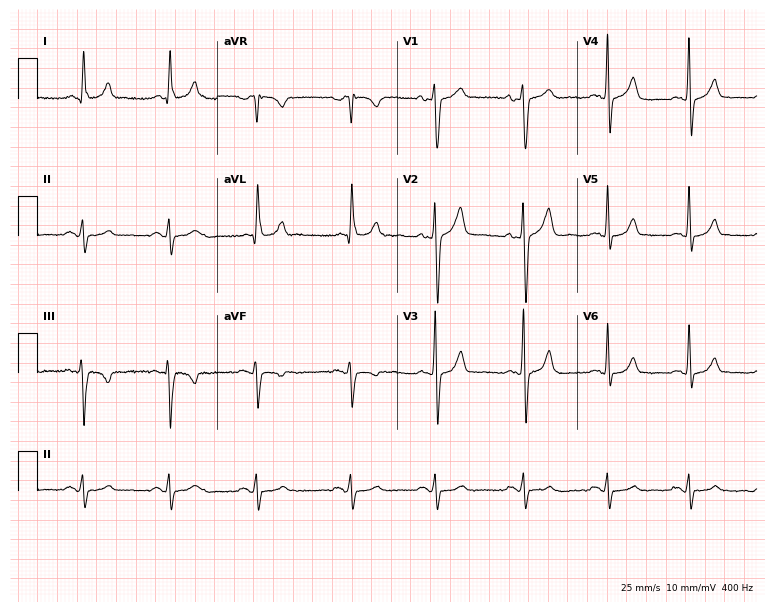
Resting 12-lead electrocardiogram. Patient: a 63-year-old male. None of these six findings is recorded: first-degree AV block, right bundle branch block, left bundle branch block, sinus bradycardia, atrial fibrillation, sinus tachycardia. Only these six findings were labelled.